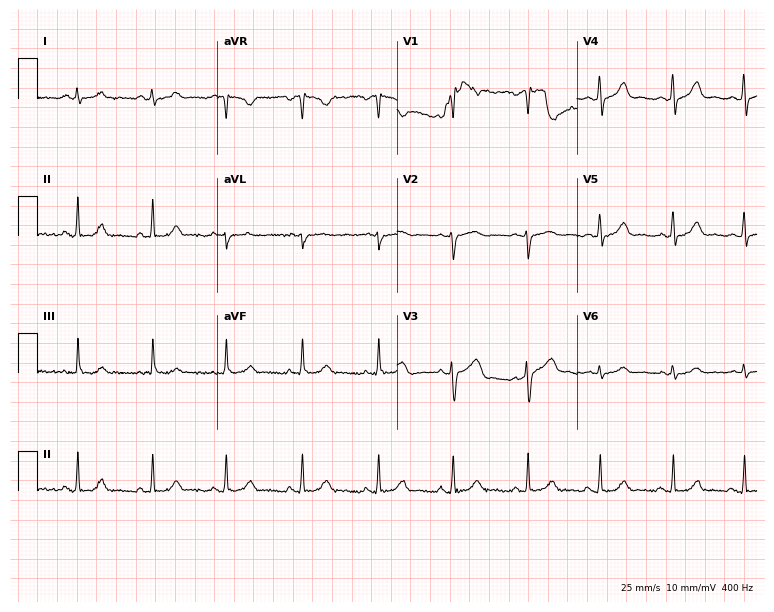
12-lead ECG from a woman, 31 years old. No first-degree AV block, right bundle branch block (RBBB), left bundle branch block (LBBB), sinus bradycardia, atrial fibrillation (AF) or sinus tachycardia recorded for this tracing. Findings outside these six are not listed.